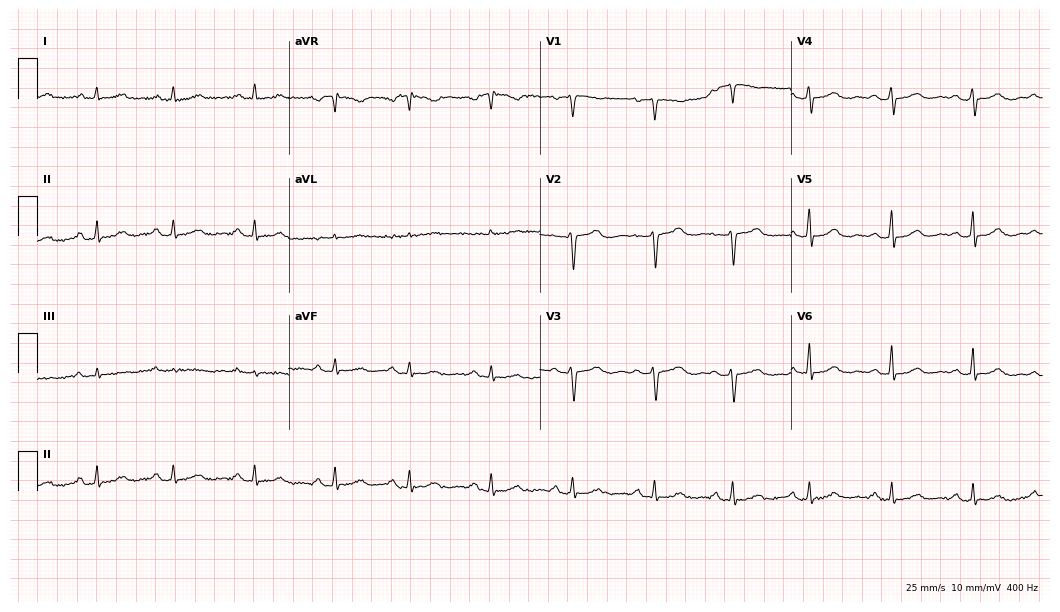
12-lead ECG from a 62-year-old female patient. Recorded interpretation: within normal limits.